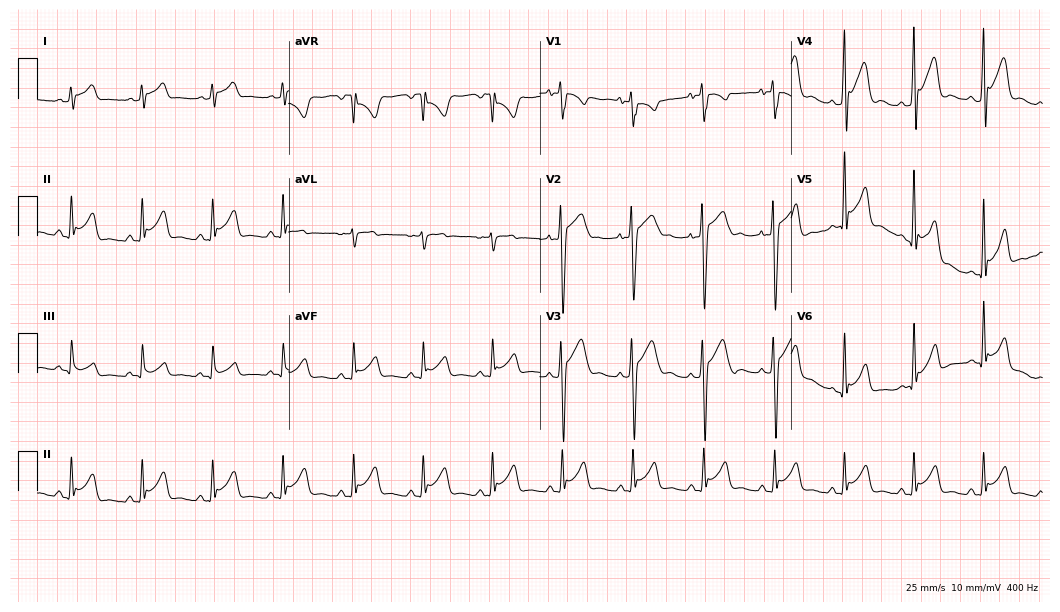
ECG — a 20-year-old man. Screened for six findings — first-degree AV block, right bundle branch block (RBBB), left bundle branch block (LBBB), sinus bradycardia, atrial fibrillation (AF), sinus tachycardia — none is recorded. Other findings, if any, are not listed.